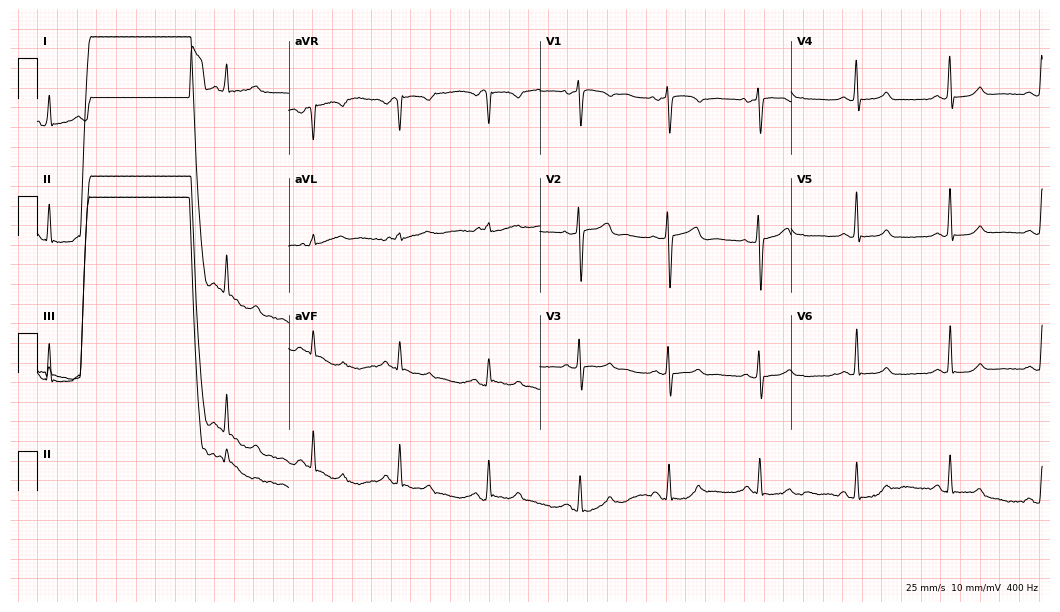
12-lead ECG (10.2-second recording at 400 Hz) from a female patient, 54 years old. Labelled as a normal ECG.